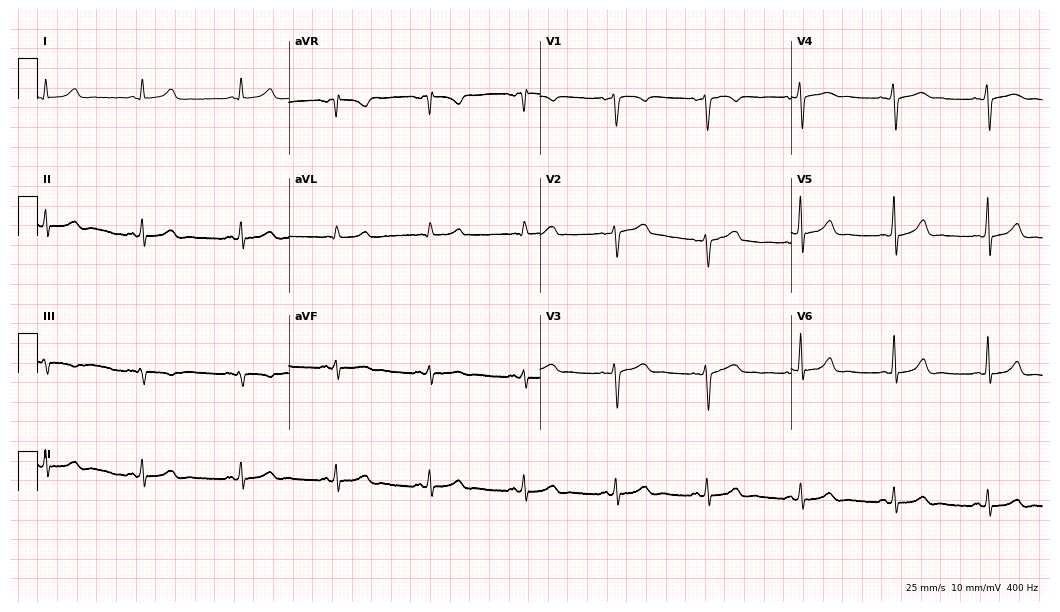
12-lead ECG from a 44-year-old female. Labelled as a normal ECG.